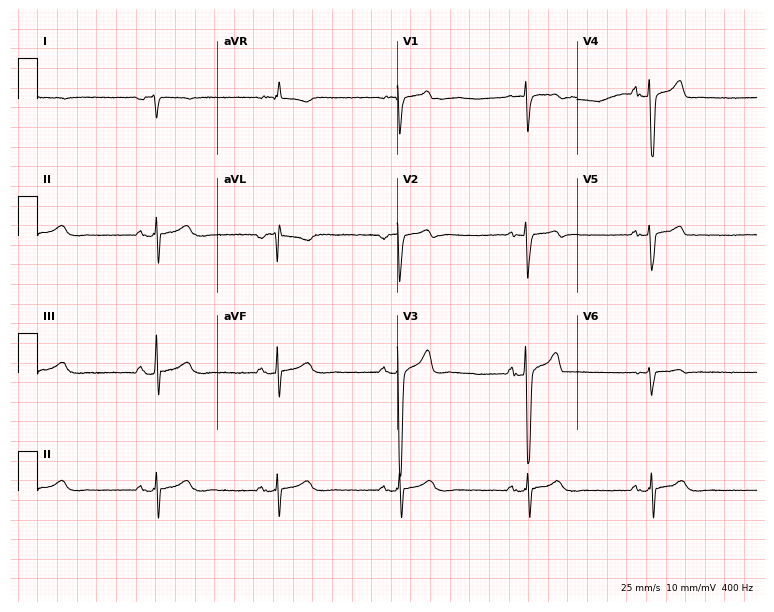
Electrocardiogram (7.3-second recording at 400 Hz), a man, 60 years old. Of the six screened findings (first-degree AV block, right bundle branch block, left bundle branch block, sinus bradycardia, atrial fibrillation, sinus tachycardia), none is recorded.